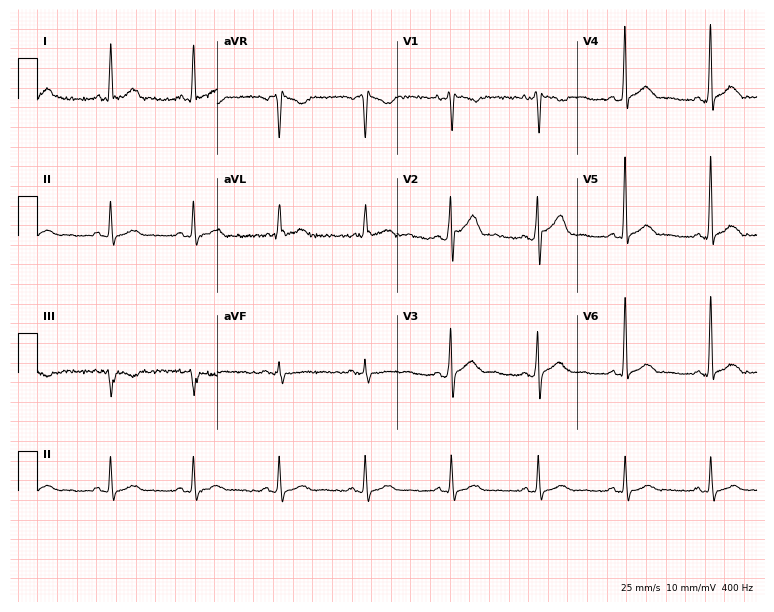
Resting 12-lead electrocardiogram (7.3-second recording at 400 Hz). Patient: a male, 48 years old. Read as a normal ECG.